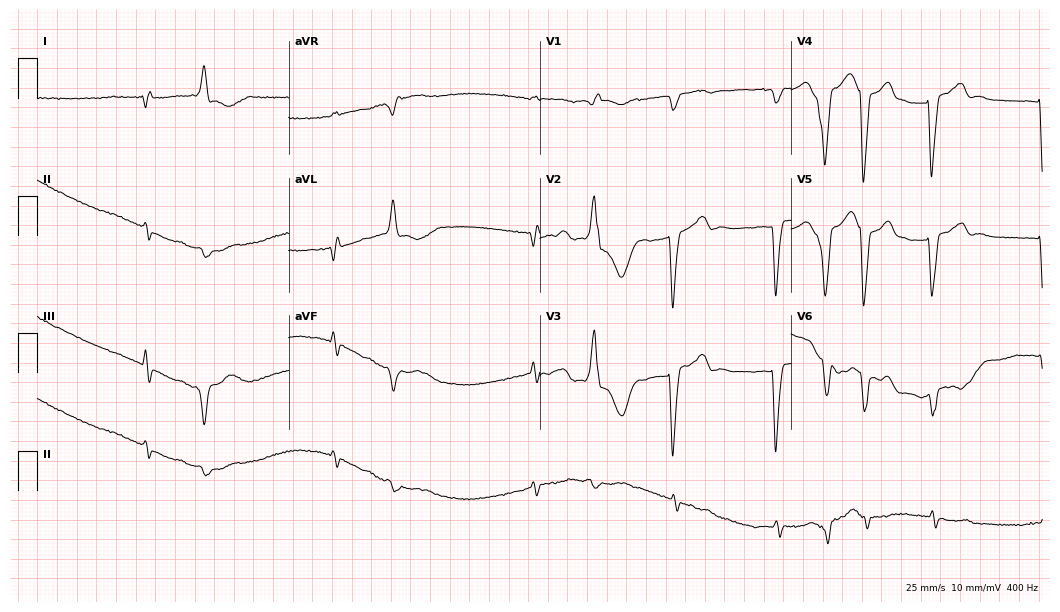
ECG (10.2-second recording at 400 Hz) — a female, 75 years old. Screened for six findings — first-degree AV block, right bundle branch block, left bundle branch block, sinus bradycardia, atrial fibrillation, sinus tachycardia — none is recorded.